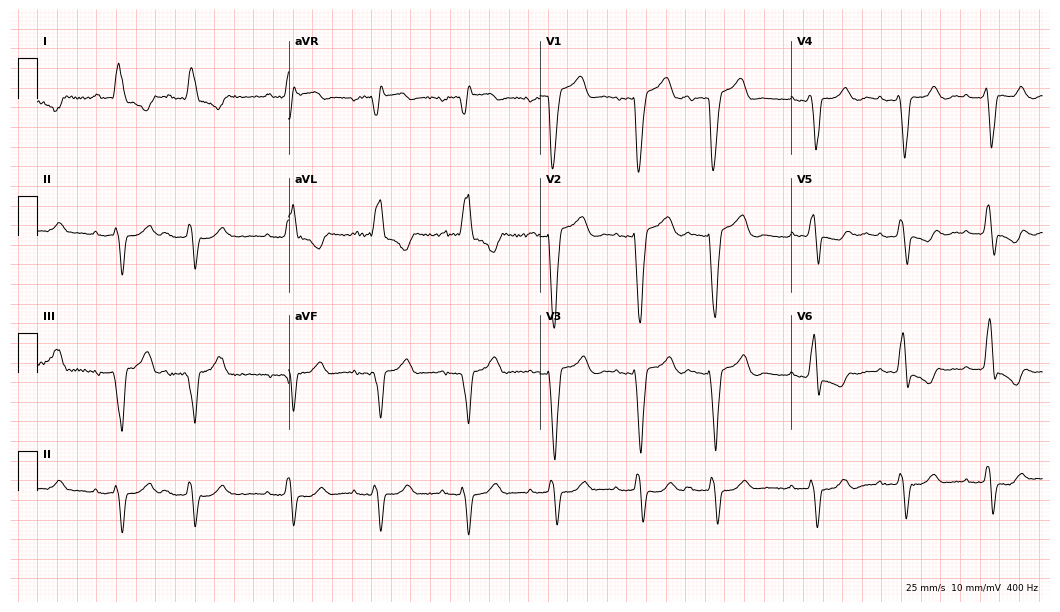
12-lead ECG from a 75-year-old male. Shows first-degree AV block, left bundle branch block (LBBB).